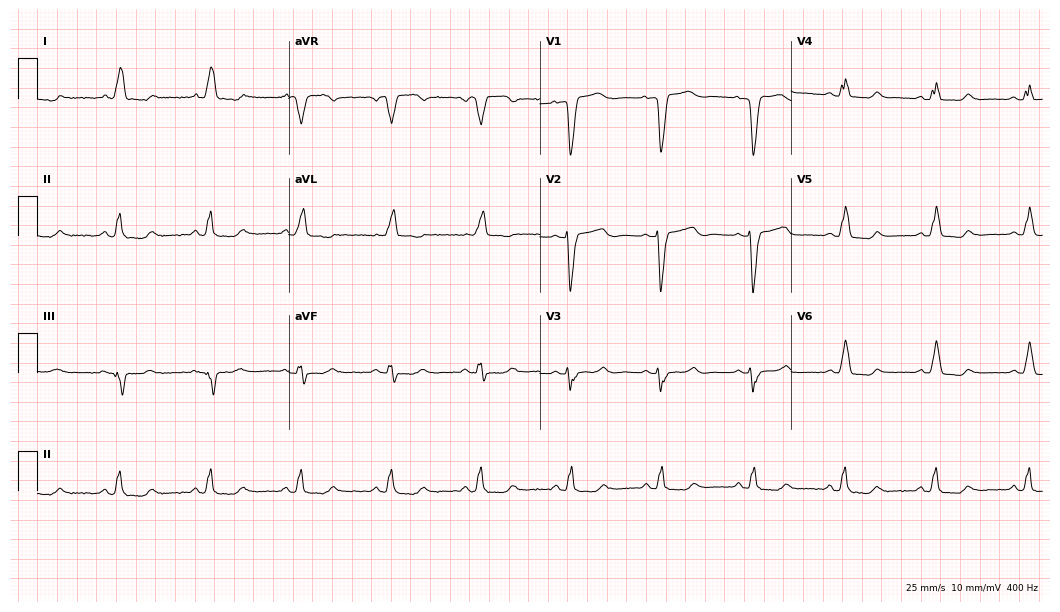
12-lead ECG (10.2-second recording at 400 Hz) from a 79-year-old female. Findings include left bundle branch block (LBBB).